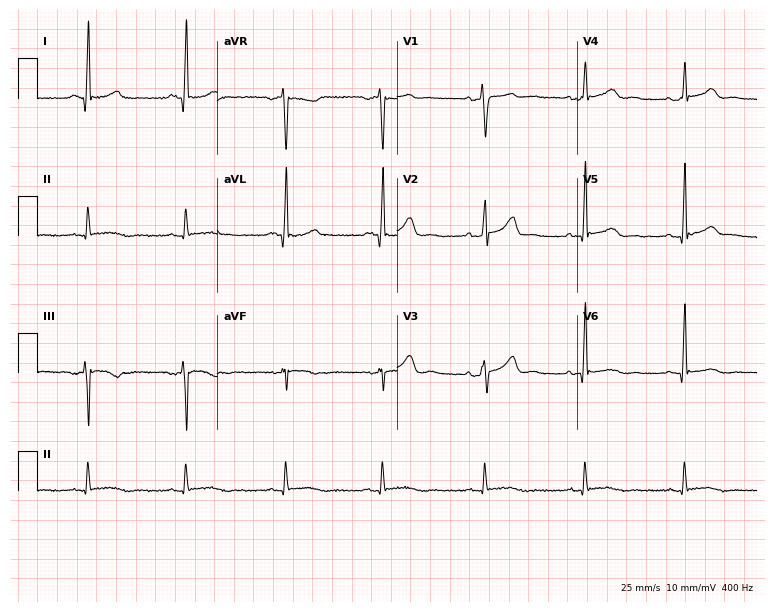
Resting 12-lead electrocardiogram. Patient: a female, 55 years old. Read as a normal ECG.